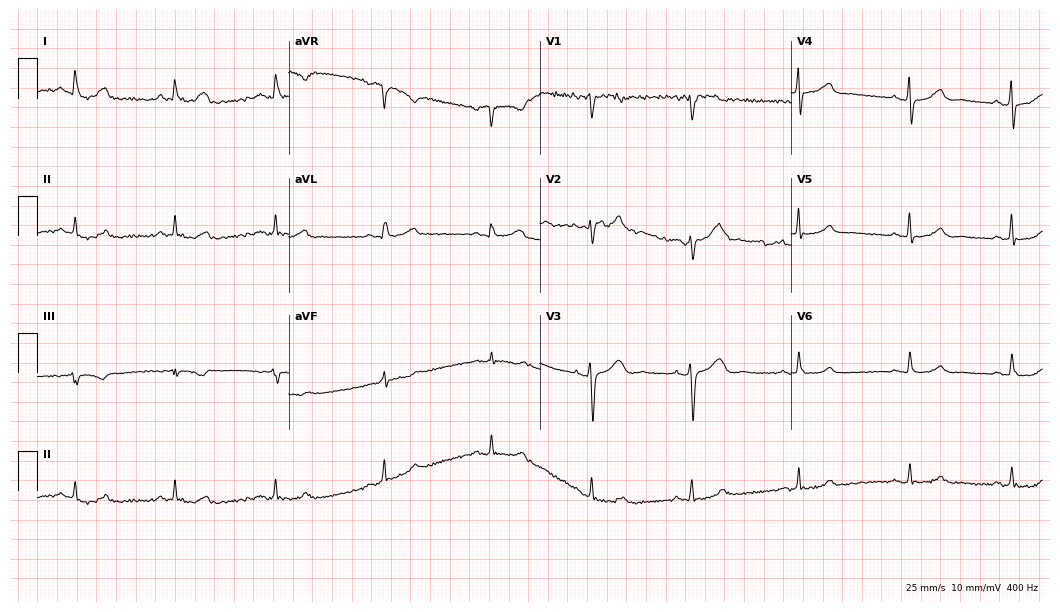
Standard 12-lead ECG recorded from a 48-year-old male patient. Read as a normal ECG.